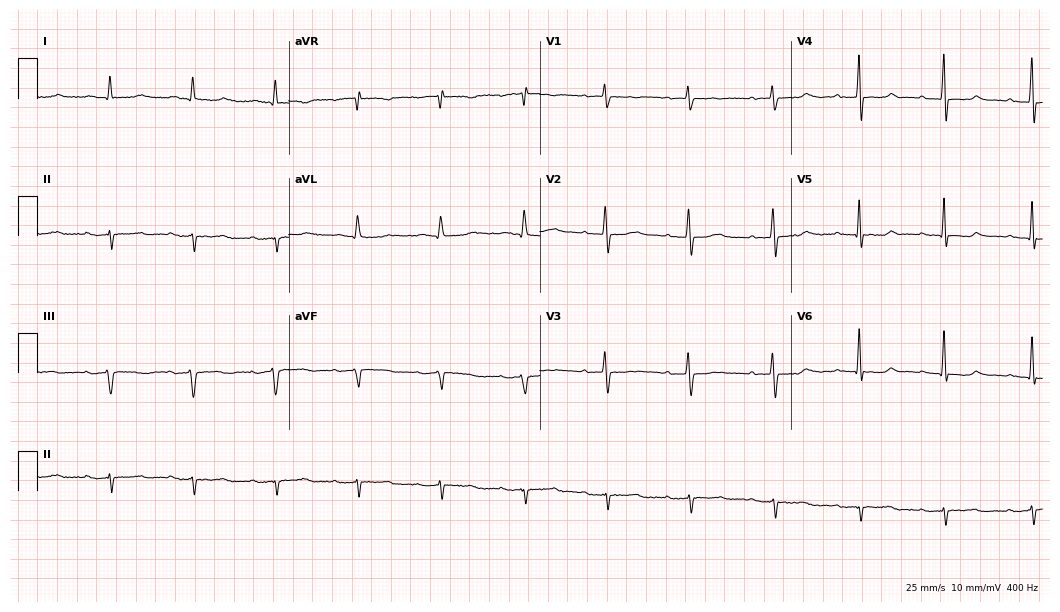
12-lead ECG from a 61-year-old female. No first-degree AV block, right bundle branch block (RBBB), left bundle branch block (LBBB), sinus bradycardia, atrial fibrillation (AF) or sinus tachycardia recorded for this tracing.